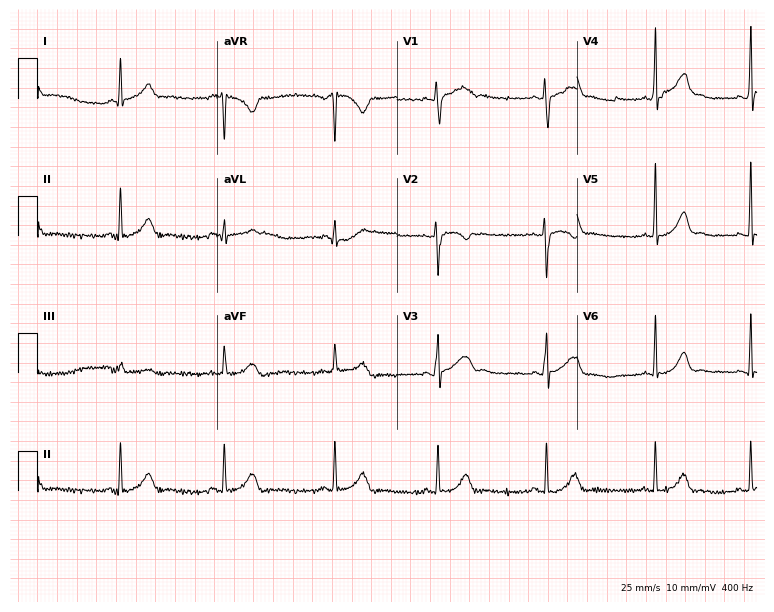
12-lead ECG from a 20-year-old female. Labelled as a normal ECG.